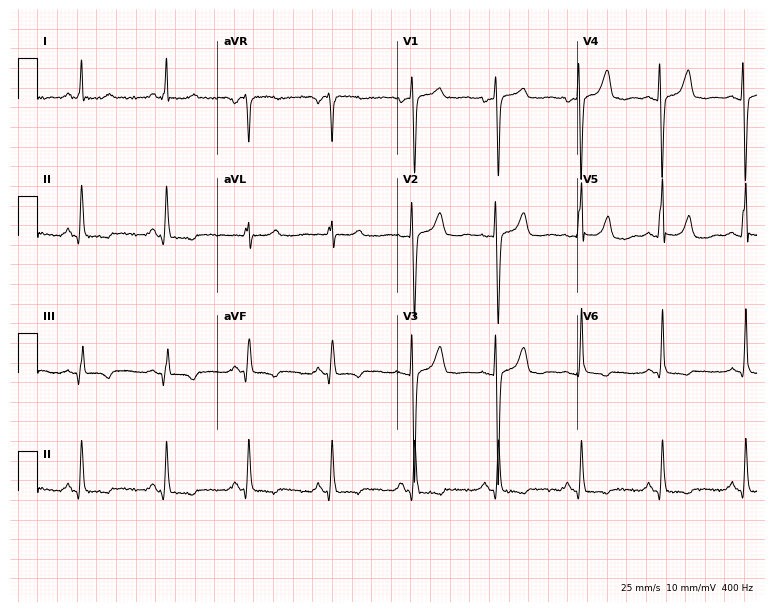
Standard 12-lead ECG recorded from a 51-year-old female patient (7.3-second recording at 400 Hz). None of these six findings is recorded: first-degree AV block, right bundle branch block (RBBB), left bundle branch block (LBBB), sinus bradycardia, atrial fibrillation (AF), sinus tachycardia.